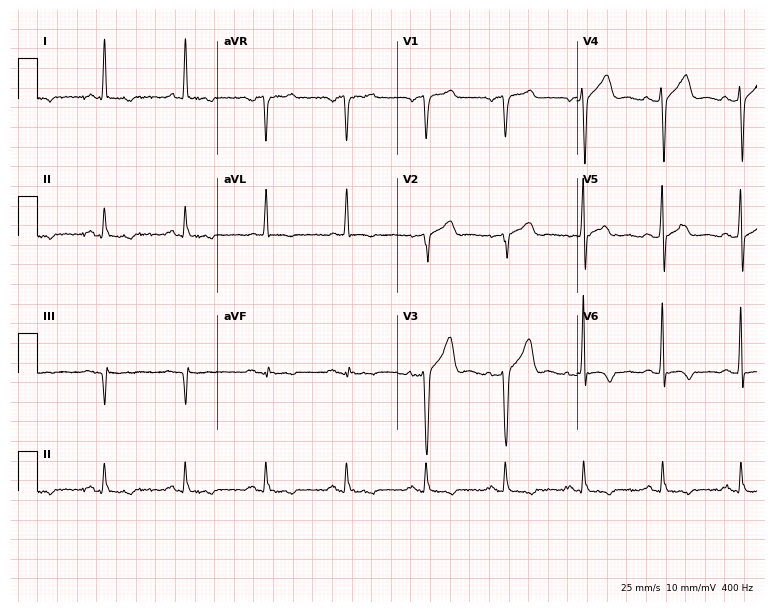
Standard 12-lead ECG recorded from a 61-year-old male (7.3-second recording at 400 Hz). None of these six findings is recorded: first-degree AV block, right bundle branch block, left bundle branch block, sinus bradycardia, atrial fibrillation, sinus tachycardia.